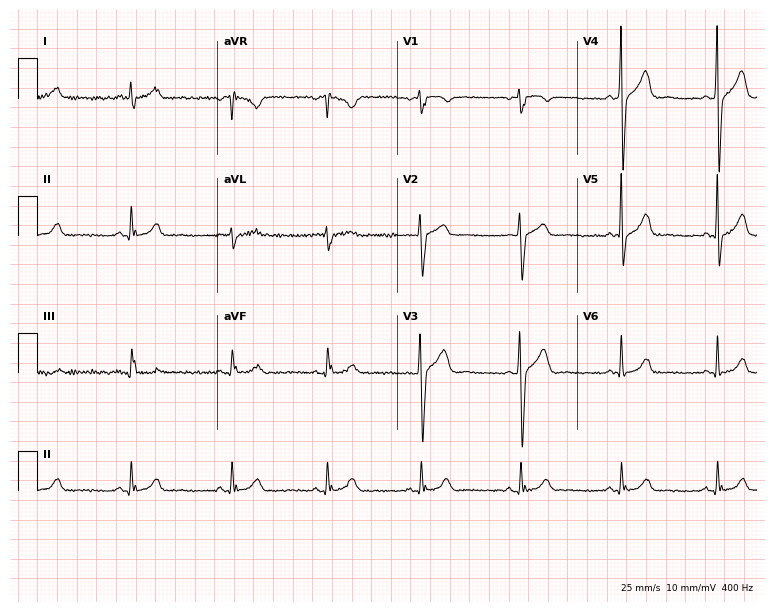
12-lead ECG from a man, 54 years old. Labelled as a normal ECG.